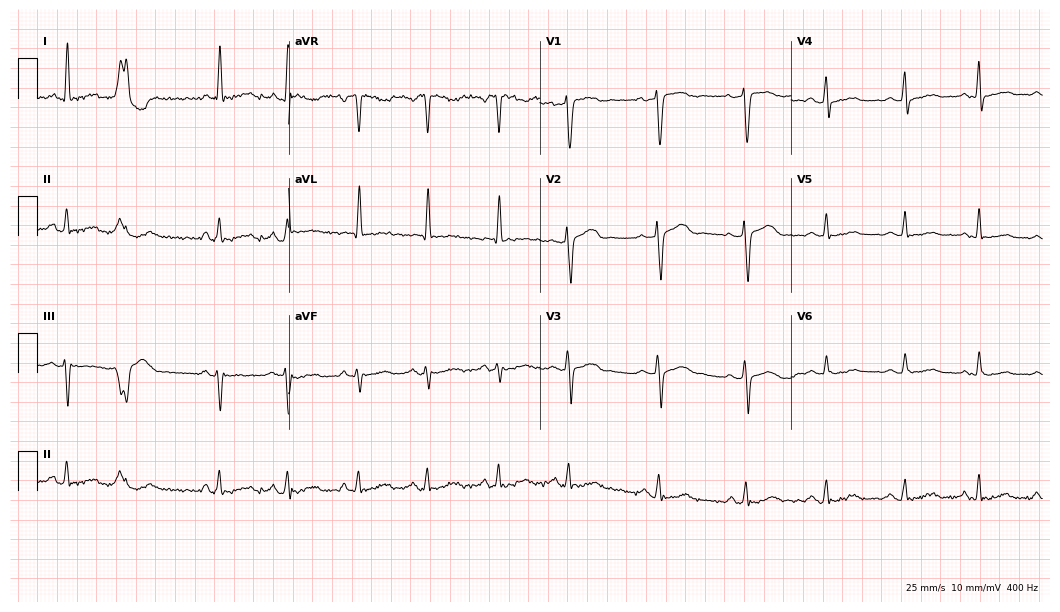
Standard 12-lead ECG recorded from a female patient, 54 years old. None of these six findings is recorded: first-degree AV block, right bundle branch block, left bundle branch block, sinus bradycardia, atrial fibrillation, sinus tachycardia.